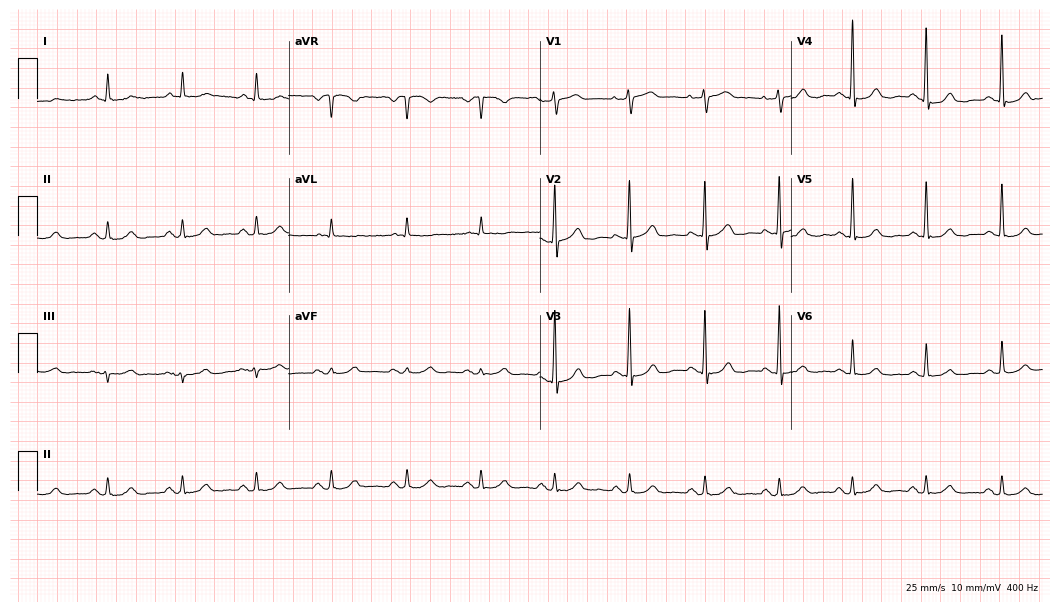
Resting 12-lead electrocardiogram (10.2-second recording at 400 Hz). Patient: an 81-year-old man. None of these six findings is recorded: first-degree AV block, right bundle branch block, left bundle branch block, sinus bradycardia, atrial fibrillation, sinus tachycardia. Only these six findings were labelled.